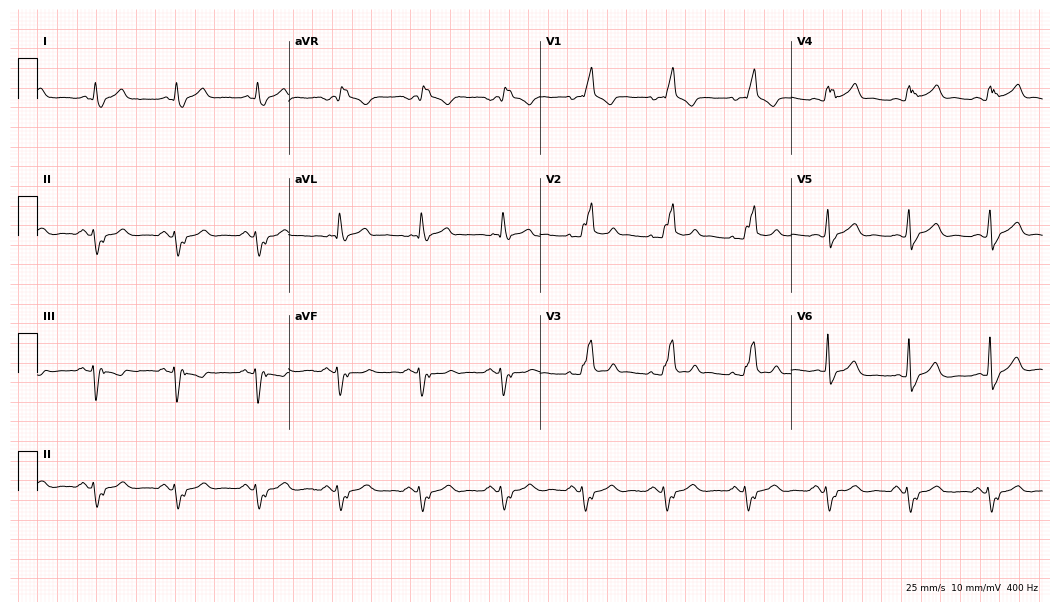
ECG (10.2-second recording at 400 Hz) — a 59-year-old man. Findings include right bundle branch block (RBBB).